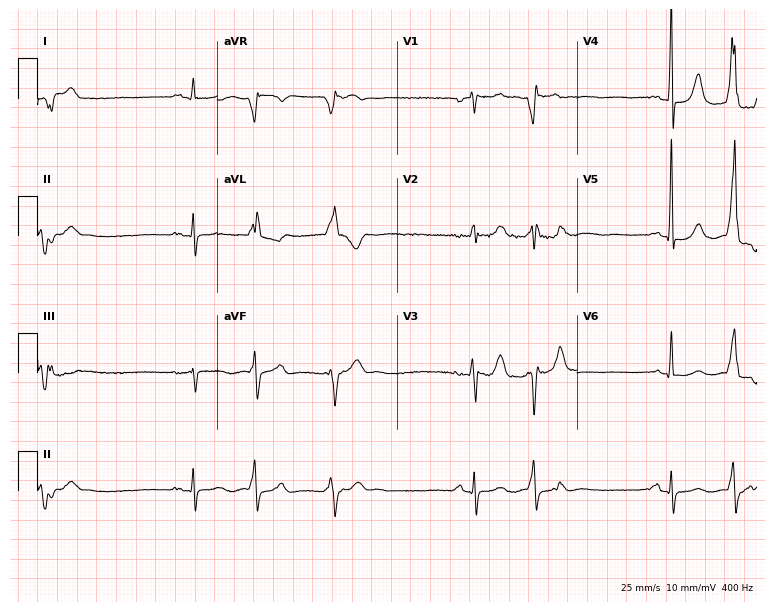
Standard 12-lead ECG recorded from a 75-year-old man. None of these six findings is recorded: first-degree AV block, right bundle branch block (RBBB), left bundle branch block (LBBB), sinus bradycardia, atrial fibrillation (AF), sinus tachycardia.